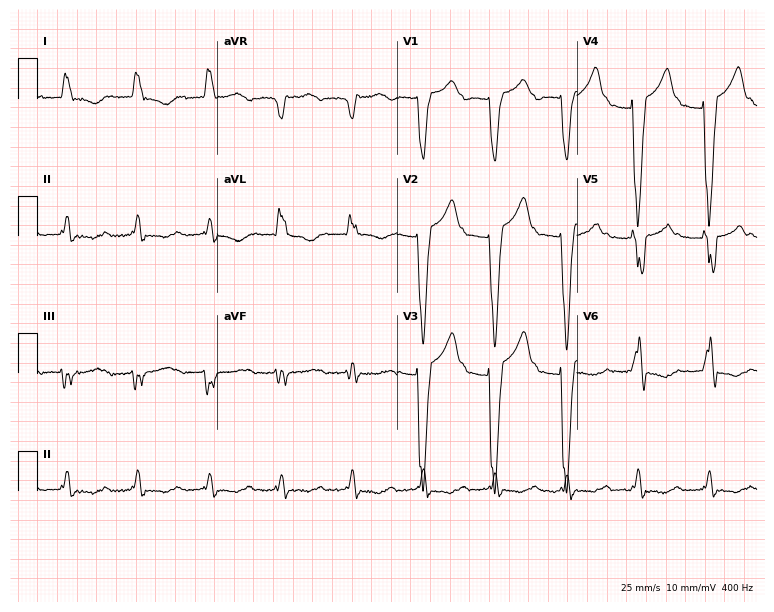
12-lead ECG from a man, 77 years old. Screened for six findings — first-degree AV block, right bundle branch block, left bundle branch block, sinus bradycardia, atrial fibrillation, sinus tachycardia — none is recorded. Other findings, if any, are not listed.